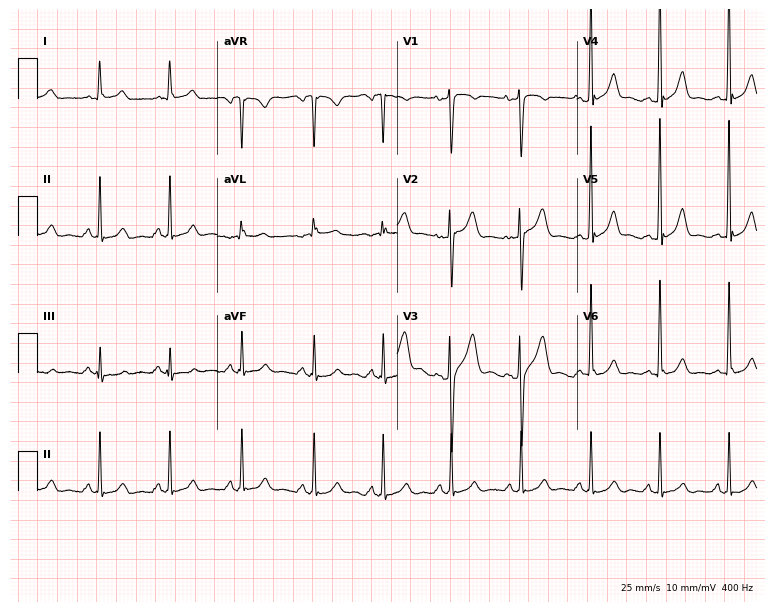
Electrocardiogram, a man, 43 years old. Overall reading on record: normal ECG.